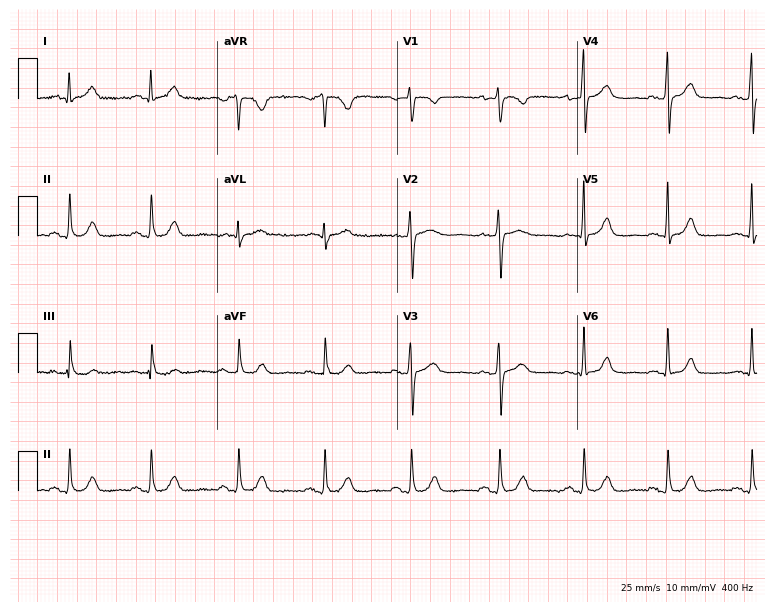
Electrocardiogram (7.3-second recording at 400 Hz), a female, 38 years old. Of the six screened findings (first-degree AV block, right bundle branch block, left bundle branch block, sinus bradycardia, atrial fibrillation, sinus tachycardia), none is recorded. Only these six findings were labelled.